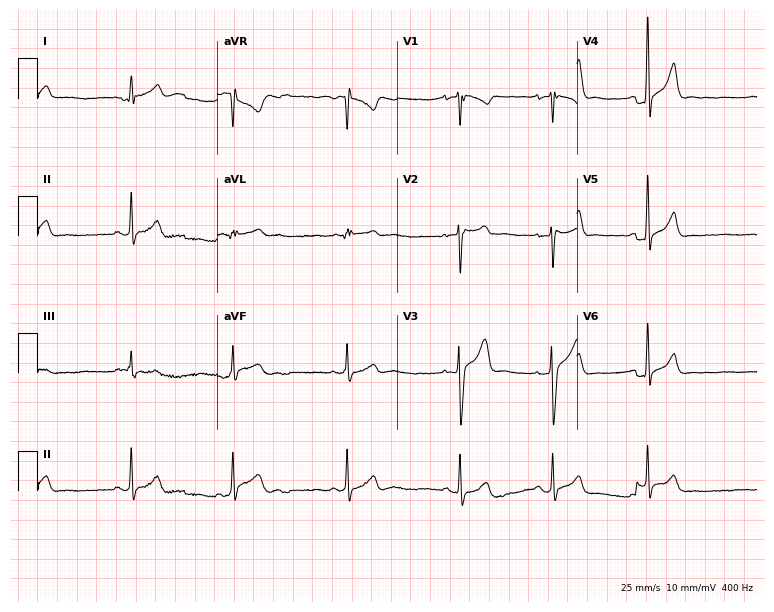
ECG (7.3-second recording at 400 Hz) — a male, 19 years old. Labelled as a normal ECG.